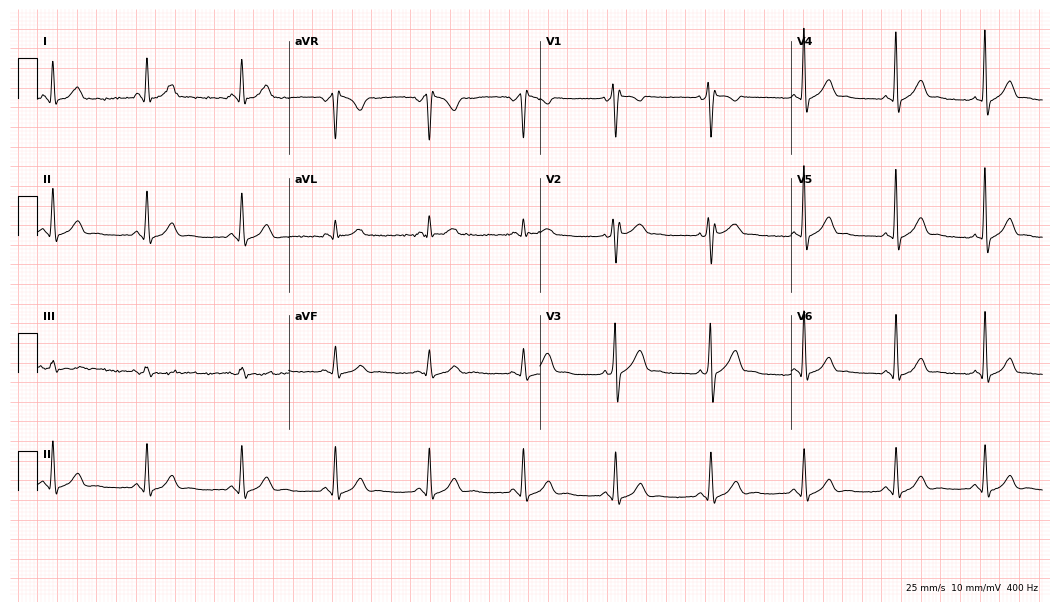
Resting 12-lead electrocardiogram. Patient: a 40-year-old male. None of these six findings is recorded: first-degree AV block, right bundle branch block, left bundle branch block, sinus bradycardia, atrial fibrillation, sinus tachycardia.